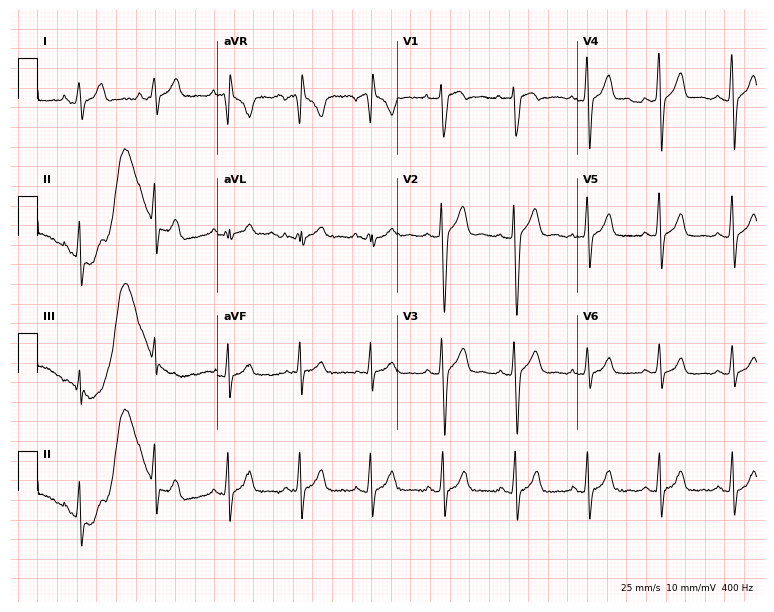
ECG (7.3-second recording at 400 Hz) — an 18-year-old male patient. Labelled as a normal ECG.